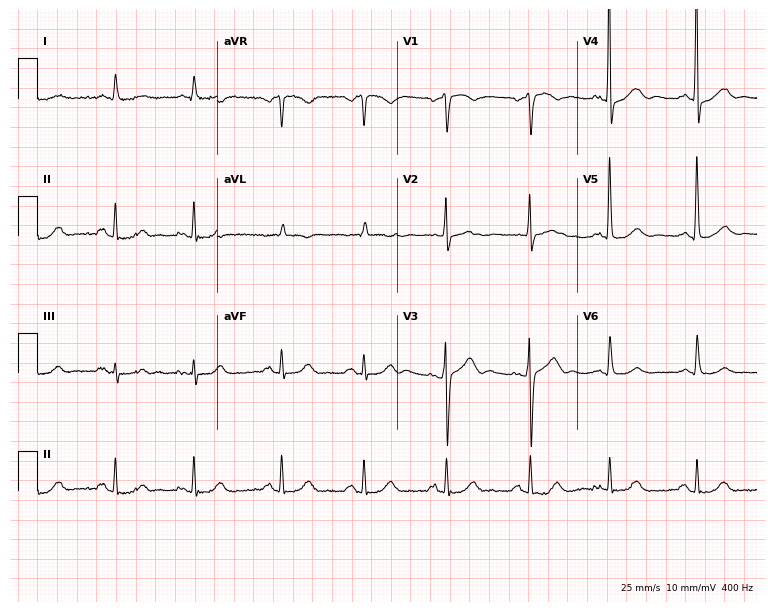
Resting 12-lead electrocardiogram. Patient: an 86-year-old man. None of these six findings is recorded: first-degree AV block, right bundle branch block (RBBB), left bundle branch block (LBBB), sinus bradycardia, atrial fibrillation (AF), sinus tachycardia.